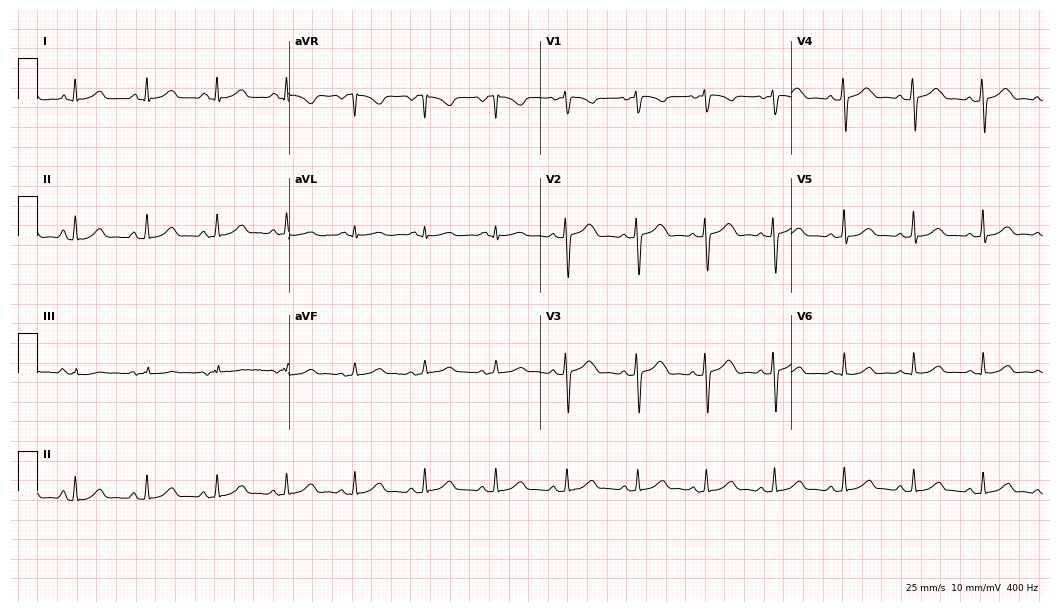
ECG (10.2-second recording at 400 Hz) — a 34-year-old female. Labelled as a normal ECG.